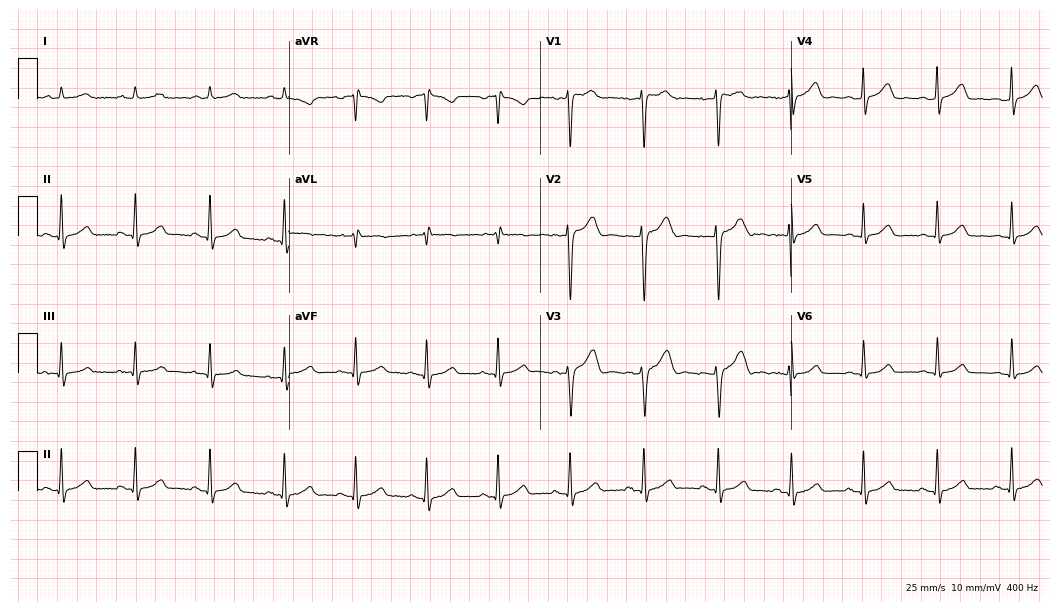
12-lead ECG from a woman, 36 years old. Screened for six findings — first-degree AV block, right bundle branch block, left bundle branch block, sinus bradycardia, atrial fibrillation, sinus tachycardia — none is recorded. Only these six findings were labelled.